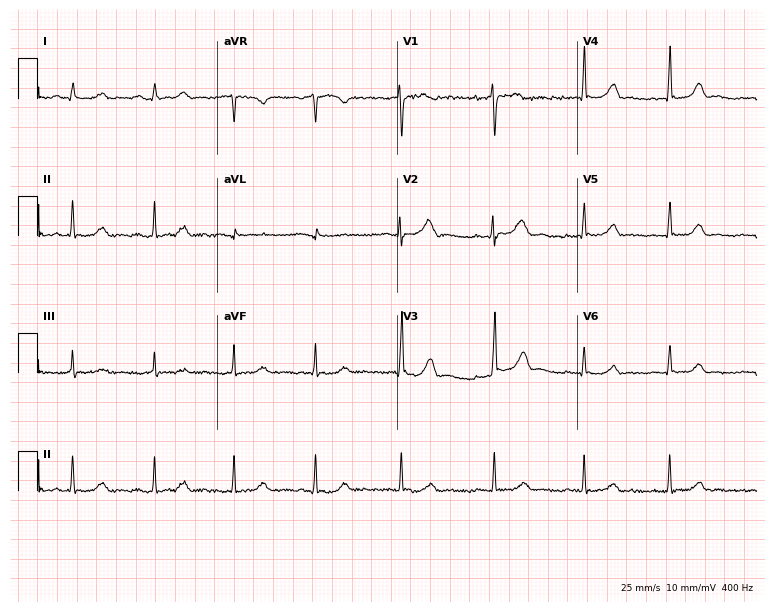
12-lead ECG from a female, 36 years old. Screened for six findings — first-degree AV block, right bundle branch block, left bundle branch block, sinus bradycardia, atrial fibrillation, sinus tachycardia — none is recorded. Findings outside these six are not listed.